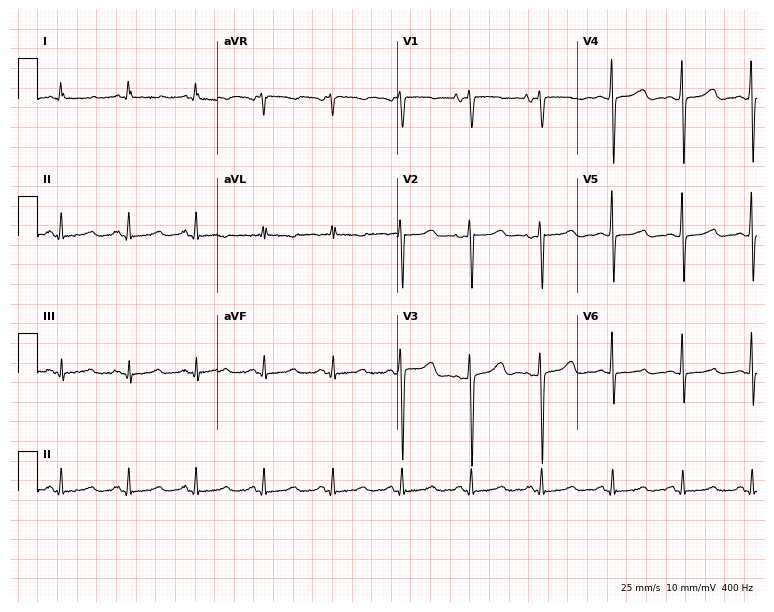
12-lead ECG from a female patient, 49 years old. Screened for six findings — first-degree AV block, right bundle branch block, left bundle branch block, sinus bradycardia, atrial fibrillation, sinus tachycardia — none is recorded. Other findings, if any, are not listed.